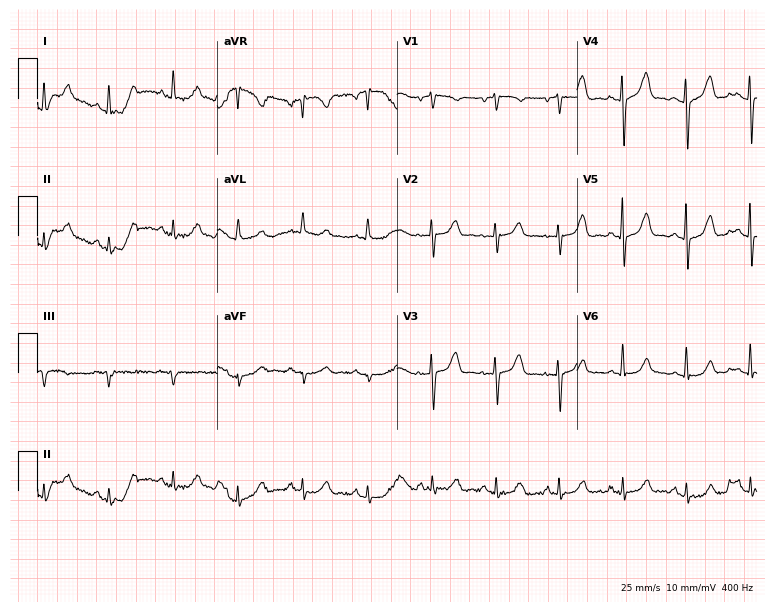
12-lead ECG (7.3-second recording at 400 Hz) from a woman, 72 years old. Labelled as a normal ECG.